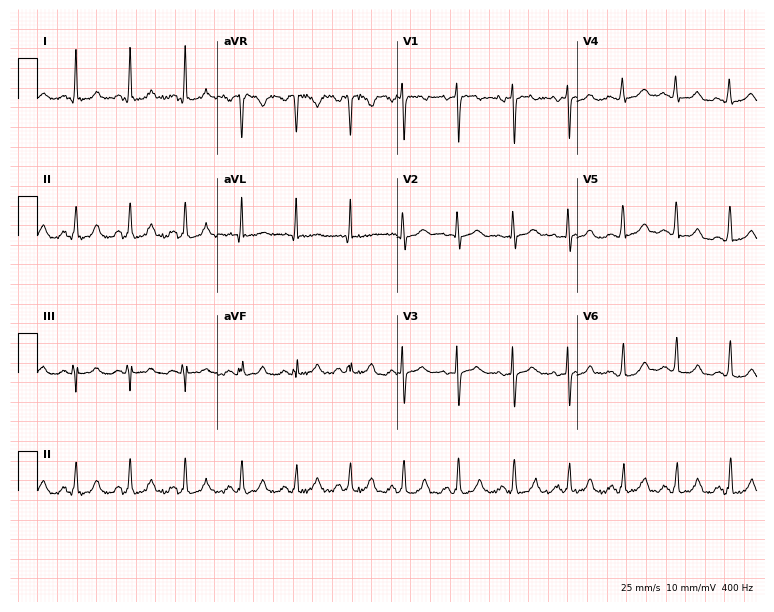
ECG — a 29-year-old female. Screened for six findings — first-degree AV block, right bundle branch block, left bundle branch block, sinus bradycardia, atrial fibrillation, sinus tachycardia — none is recorded.